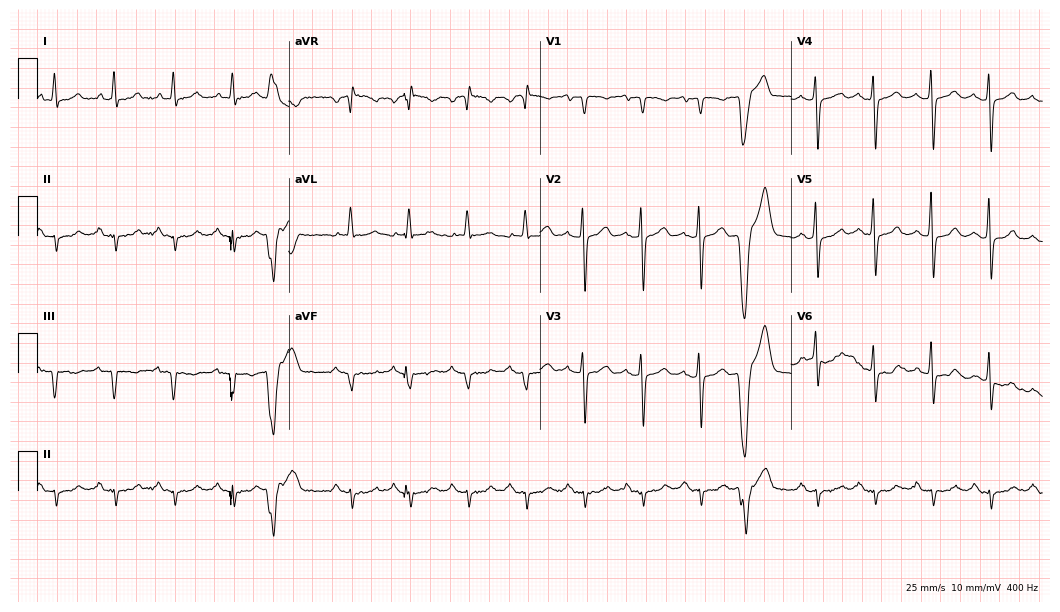
ECG — an 81-year-old male patient. Screened for six findings — first-degree AV block, right bundle branch block, left bundle branch block, sinus bradycardia, atrial fibrillation, sinus tachycardia — none is recorded.